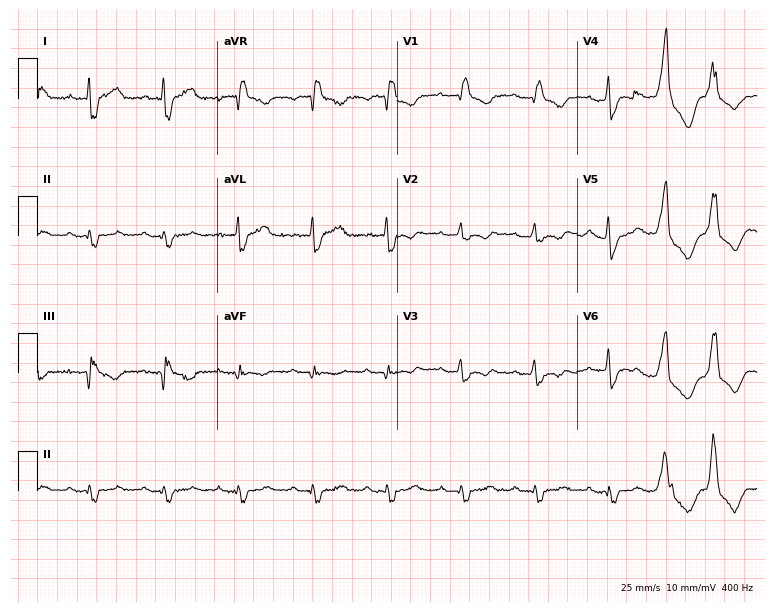
Standard 12-lead ECG recorded from a 52-year-old female patient. The tracing shows right bundle branch block (RBBB).